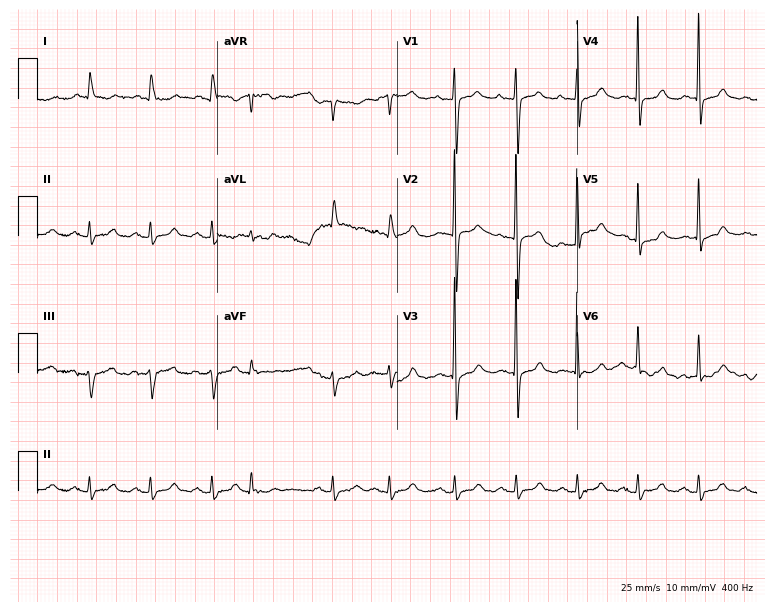
12-lead ECG from an 85-year-old female. No first-degree AV block, right bundle branch block (RBBB), left bundle branch block (LBBB), sinus bradycardia, atrial fibrillation (AF) or sinus tachycardia recorded for this tracing. Other findings, if any, are not listed.